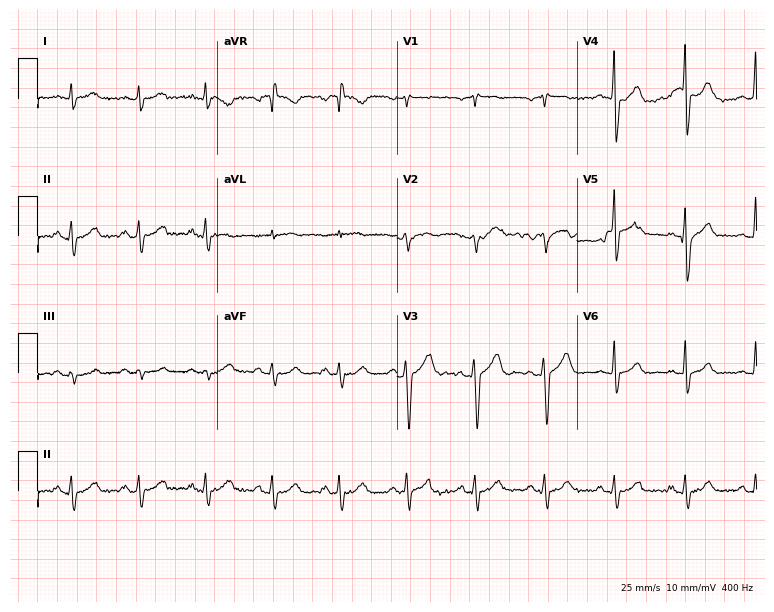
Resting 12-lead electrocardiogram. Patient: a 56-year-old male. None of these six findings is recorded: first-degree AV block, right bundle branch block, left bundle branch block, sinus bradycardia, atrial fibrillation, sinus tachycardia. Only these six findings were labelled.